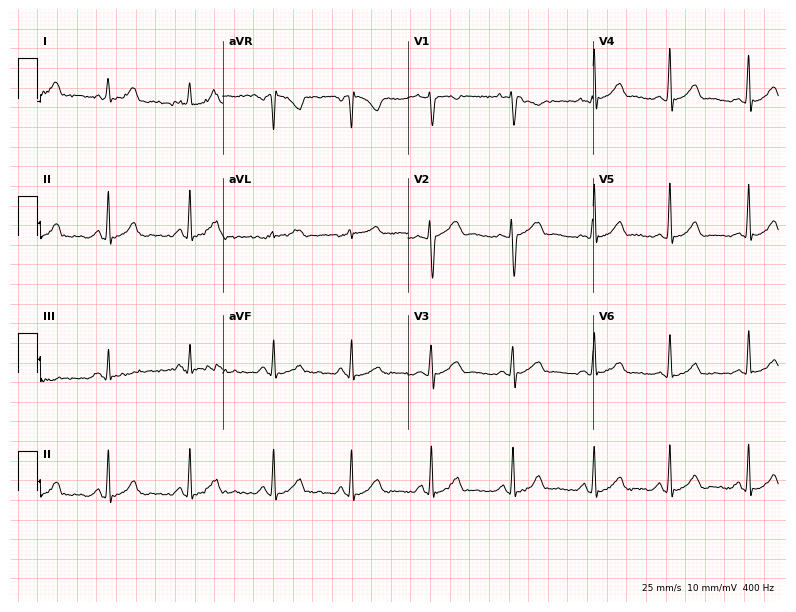
12-lead ECG from a woman, 26 years old. Recorded interpretation: within normal limits.